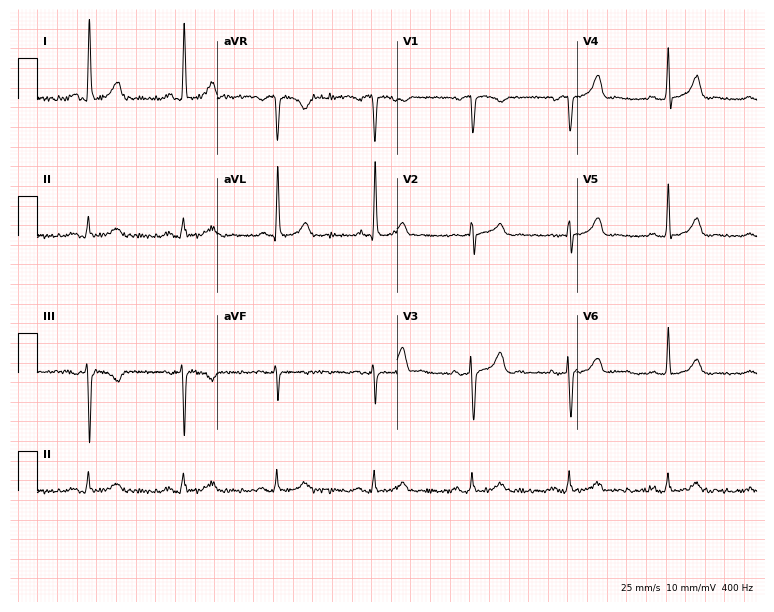
Standard 12-lead ECG recorded from a woman, 83 years old (7.3-second recording at 400 Hz). None of these six findings is recorded: first-degree AV block, right bundle branch block, left bundle branch block, sinus bradycardia, atrial fibrillation, sinus tachycardia. Findings outside these six are not listed.